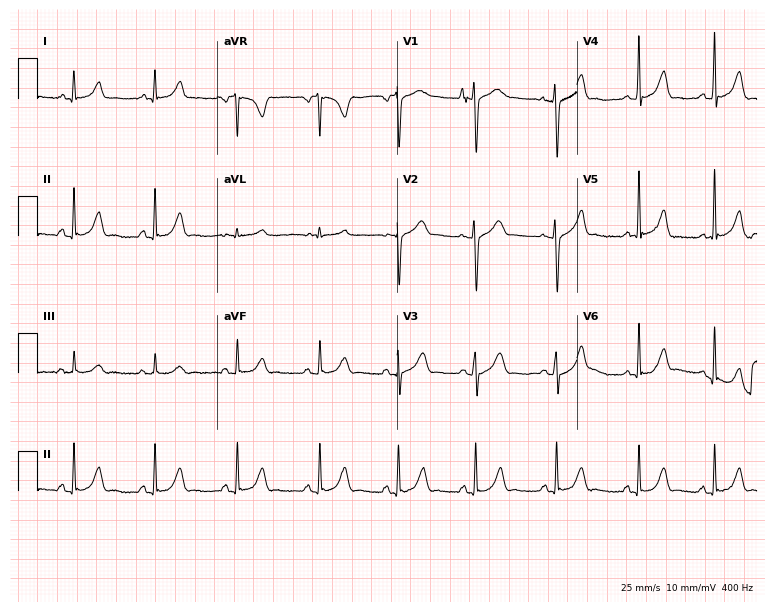
Electrocardiogram, a female, 64 years old. Overall reading on record: normal ECG.